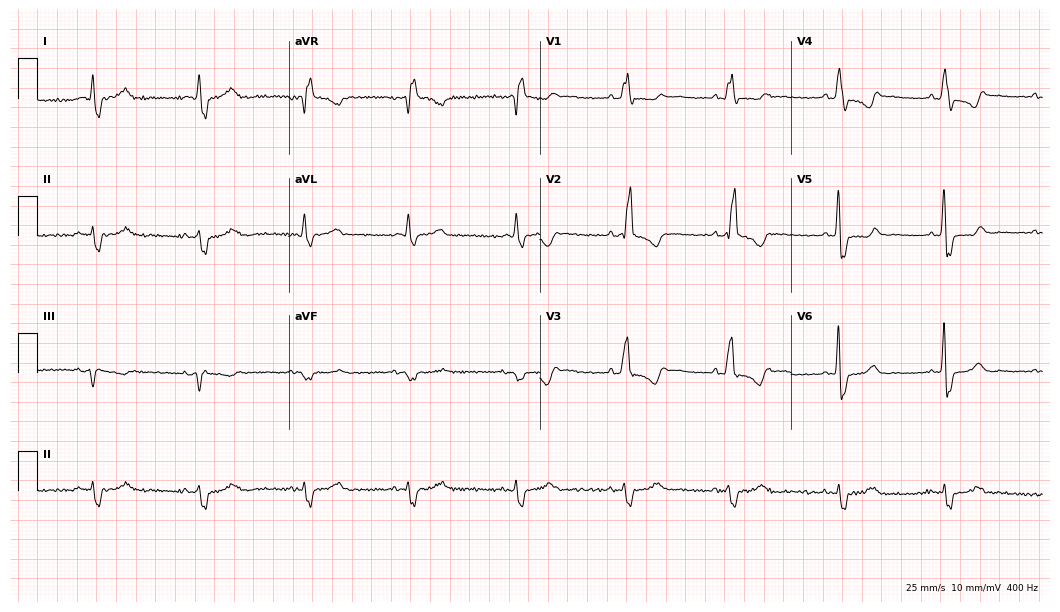
Electrocardiogram, a 65-year-old man. Interpretation includes right bundle branch block (RBBB).